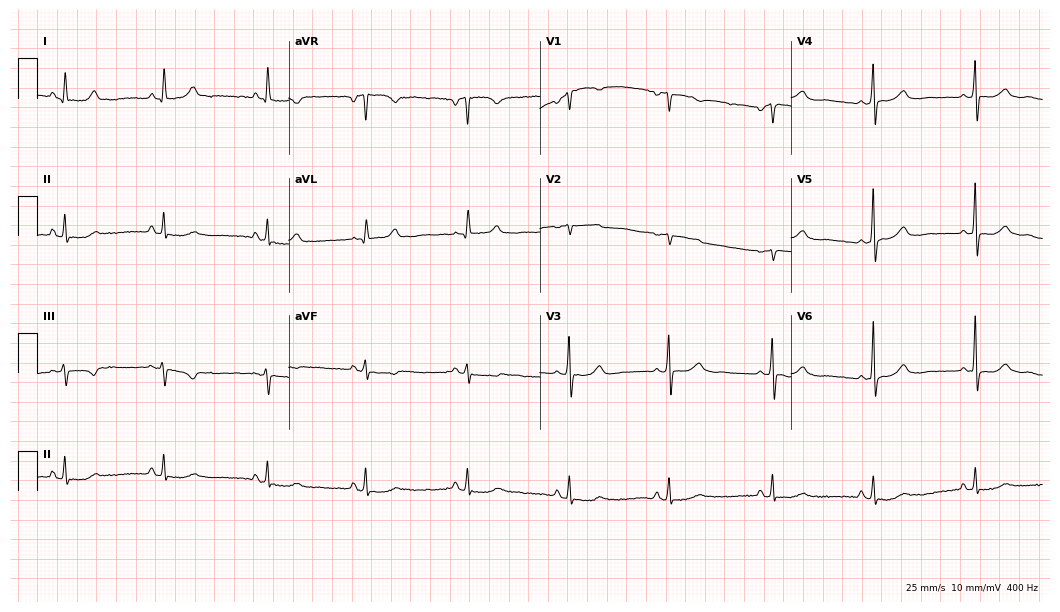
12-lead ECG from a 79-year-old woman. Labelled as a normal ECG.